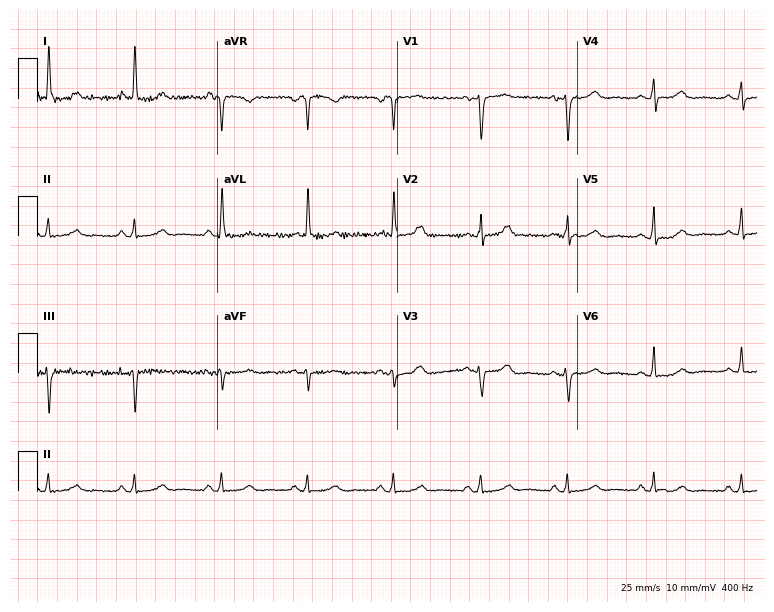
12-lead ECG from a woman, 80 years old. Screened for six findings — first-degree AV block, right bundle branch block, left bundle branch block, sinus bradycardia, atrial fibrillation, sinus tachycardia — none is recorded. Only these six findings were labelled.